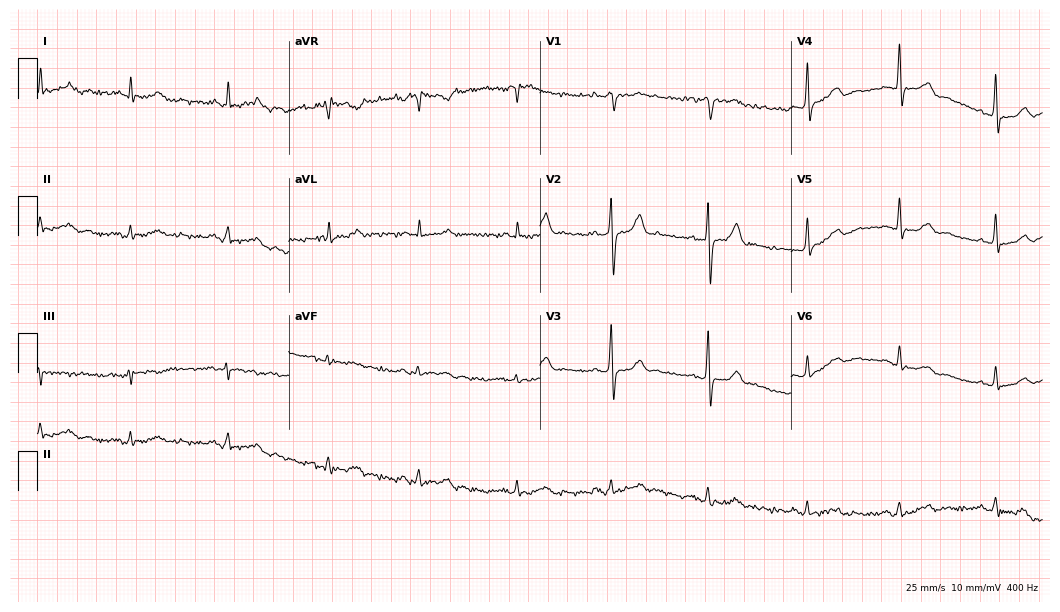
Resting 12-lead electrocardiogram (10.2-second recording at 400 Hz). Patient: a male, 53 years old. None of these six findings is recorded: first-degree AV block, right bundle branch block, left bundle branch block, sinus bradycardia, atrial fibrillation, sinus tachycardia.